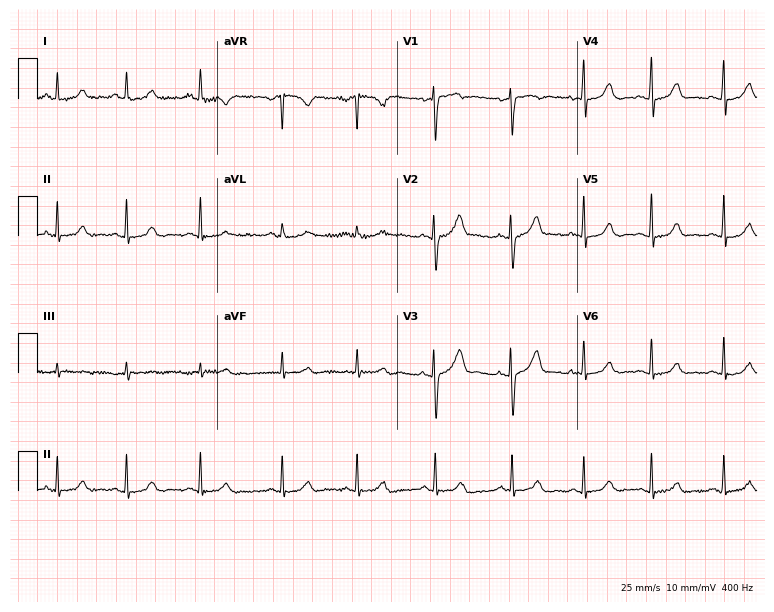
12-lead ECG from a 37-year-old female patient. Labelled as a normal ECG.